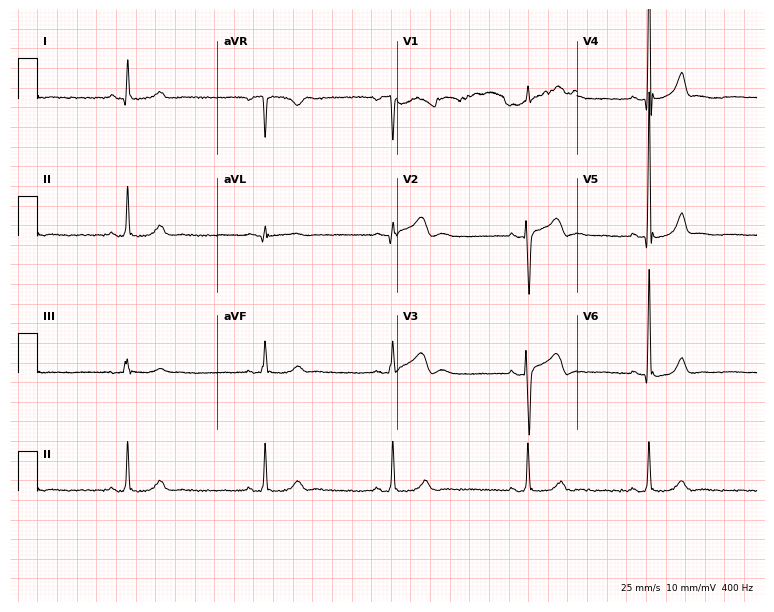
Resting 12-lead electrocardiogram. Patient: a male, 31 years old. The tracing shows sinus bradycardia (a sinus rate of 50 beats per minute or less).